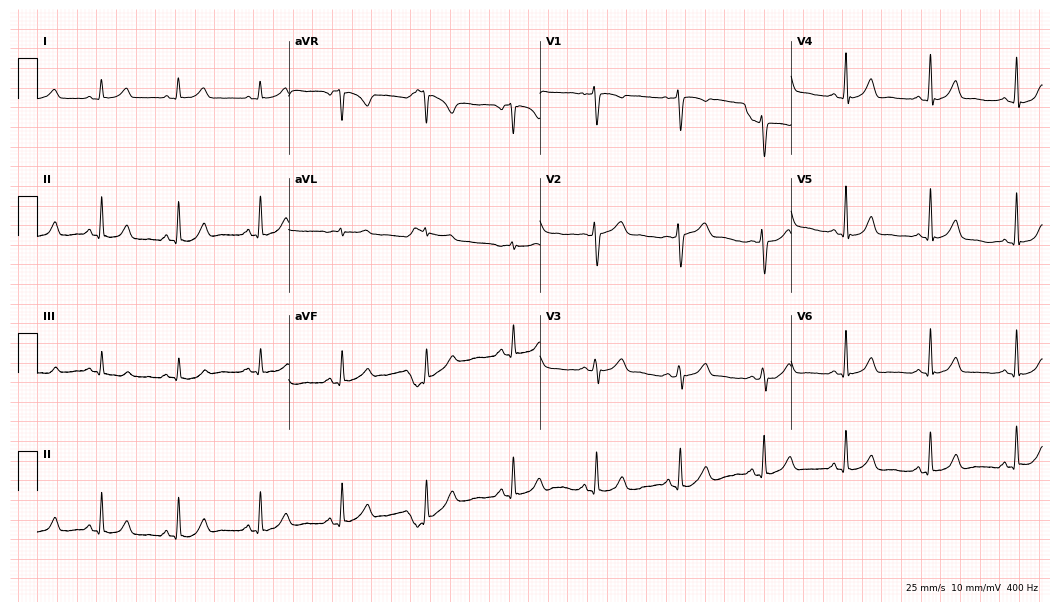
Standard 12-lead ECG recorded from a 34-year-old woman. Read as a normal ECG.